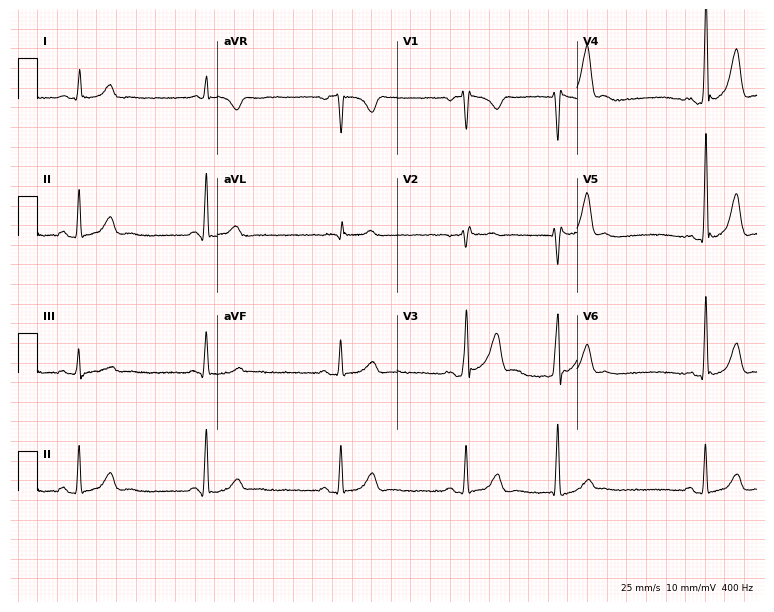
12-lead ECG from a male, 39 years old (7.3-second recording at 400 Hz). No first-degree AV block, right bundle branch block (RBBB), left bundle branch block (LBBB), sinus bradycardia, atrial fibrillation (AF) or sinus tachycardia recorded for this tracing.